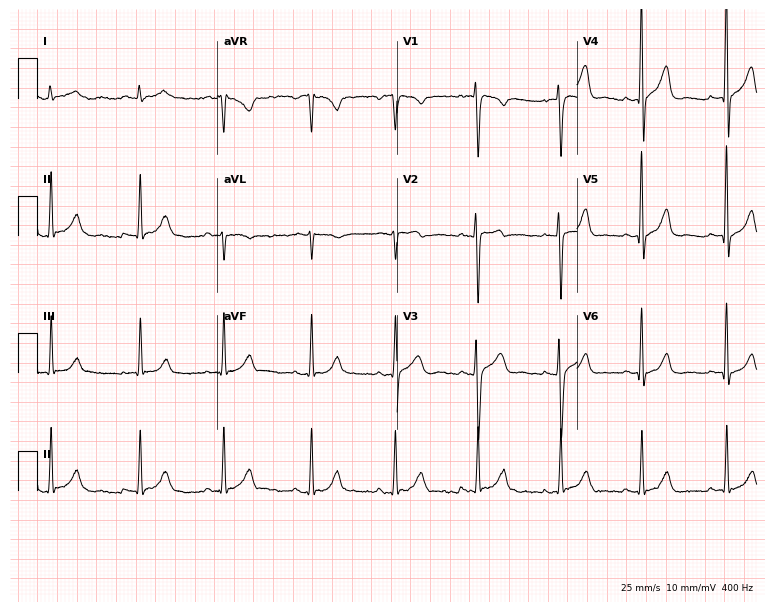
Standard 12-lead ECG recorded from a 33-year-old male. Read as a normal ECG.